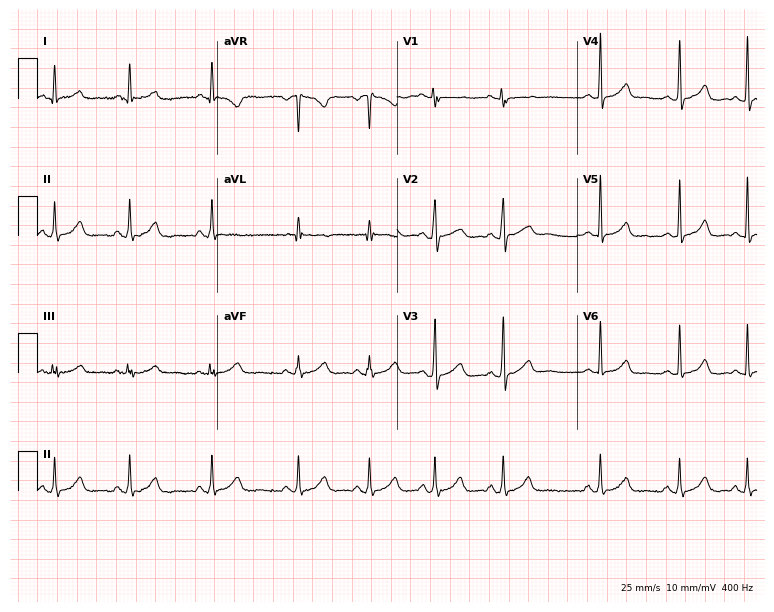
Resting 12-lead electrocardiogram. Patient: an 18-year-old female. None of these six findings is recorded: first-degree AV block, right bundle branch block (RBBB), left bundle branch block (LBBB), sinus bradycardia, atrial fibrillation (AF), sinus tachycardia.